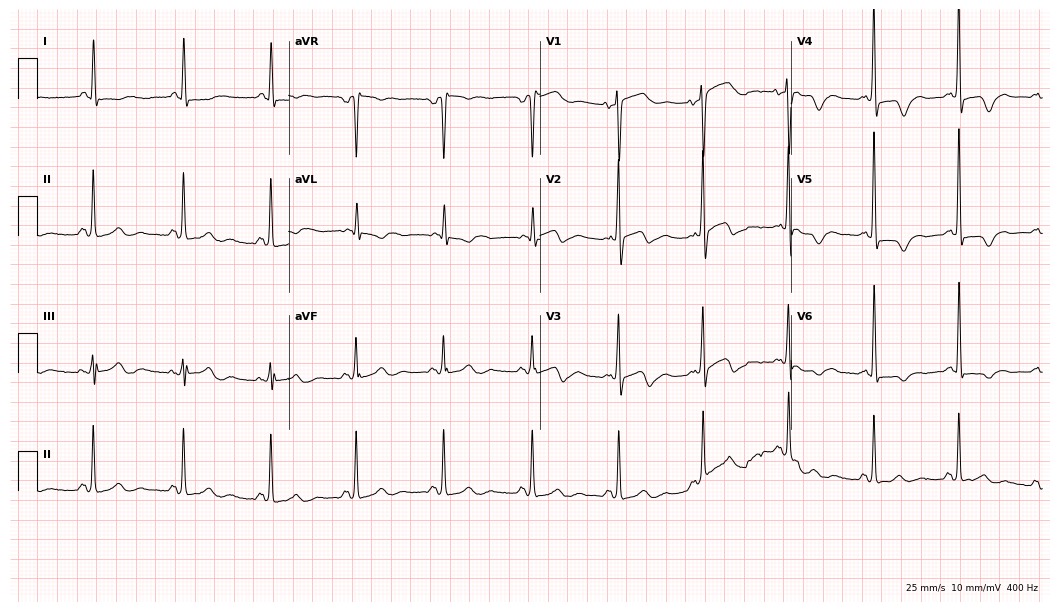
Standard 12-lead ECG recorded from a female patient, 71 years old. None of these six findings is recorded: first-degree AV block, right bundle branch block (RBBB), left bundle branch block (LBBB), sinus bradycardia, atrial fibrillation (AF), sinus tachycardia. Findings outside these six are not listed.